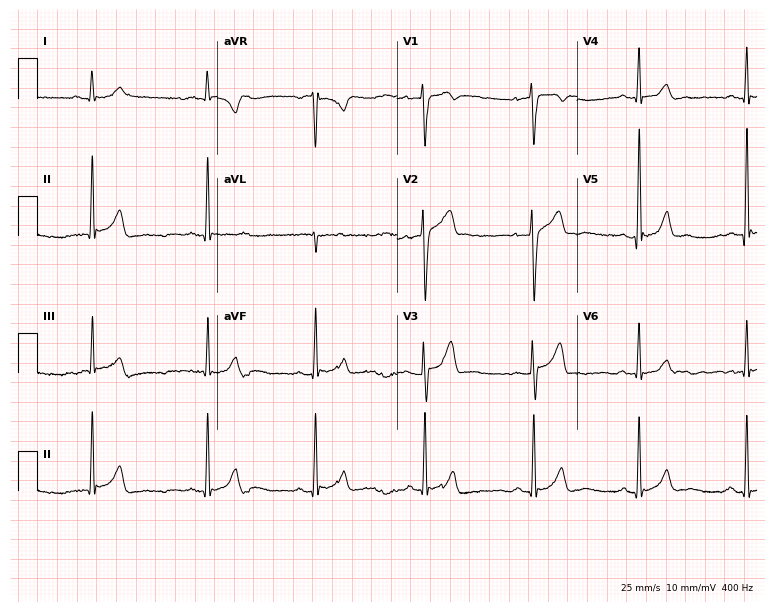
ECG — a male patient, 28 years old. Labelled as a normal ECG.